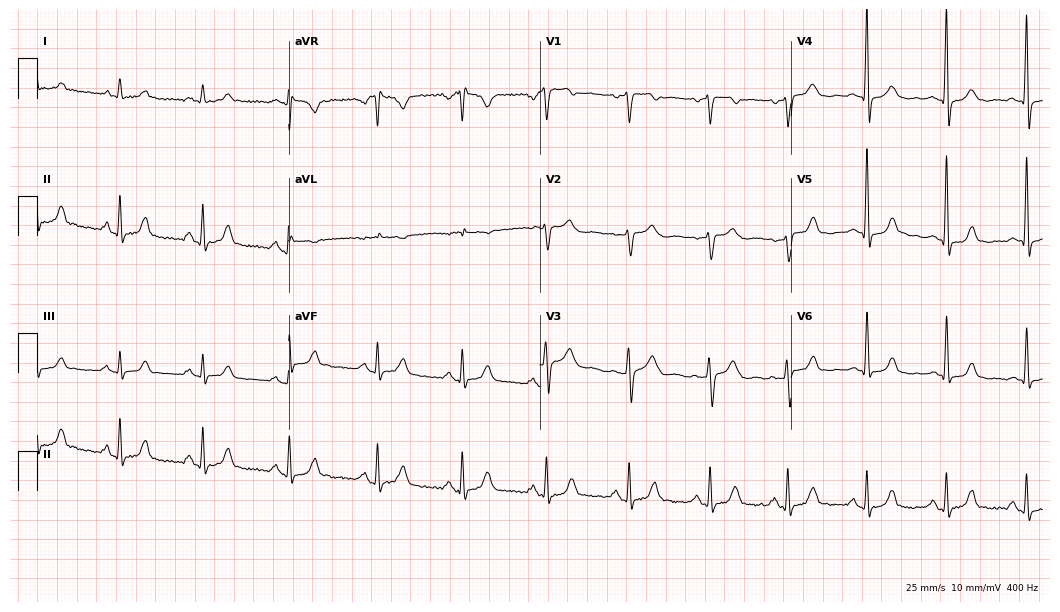
ECG — a male patient, 50 years old. Labelled as a normal ECG.